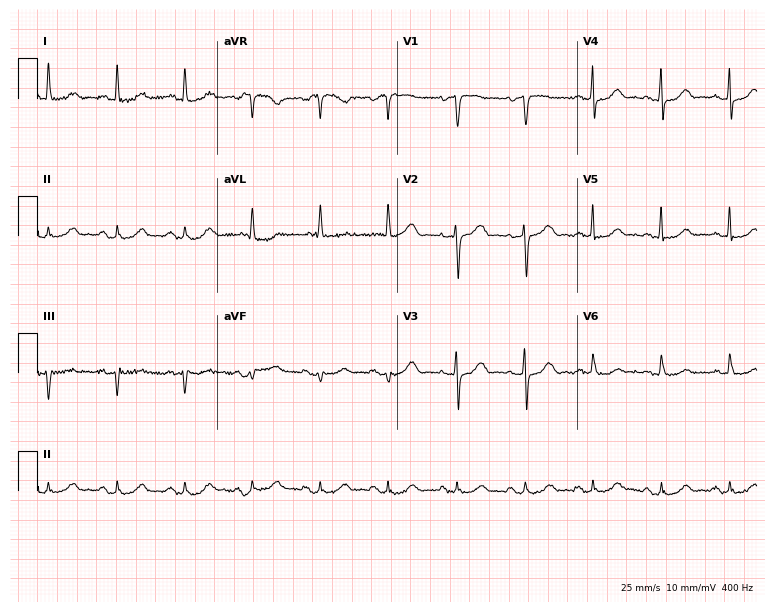
ECG (7.3-second recording at 400 Hz) — an 84-year-old female. Screened for six findings — first-degree AV block, right bundle branch block, left bundle branch block, sinus bradycardia, atrial fibrillation, sinus tachycardia — none is recorded. Findings outside these six are not listed.